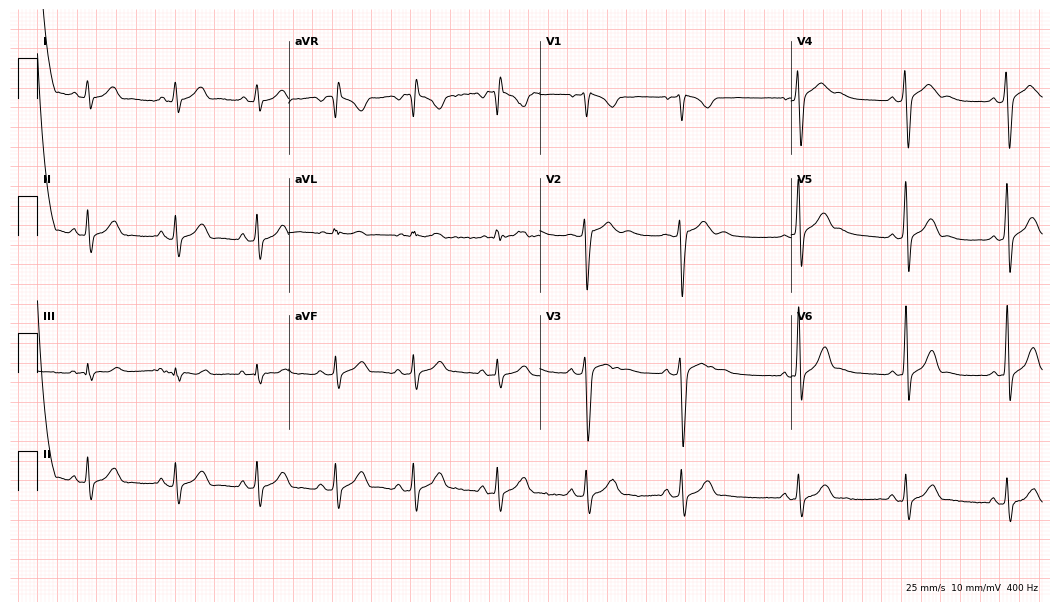
12-lead ECG from a female, 28 years old (10.2-second recording at 400 Hz). No first-degree AV block, right bundle branch block, left bundle branch block, sinus bradycardia, atrial fibrillation or sinus tachycardia recorded for this tracing.